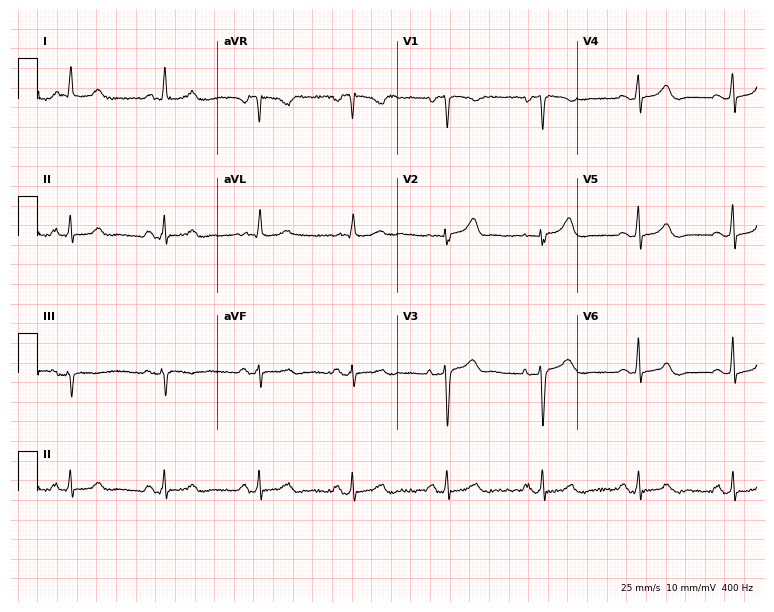
12-lead ECG (7.3-second recording at 400 Hz) from a female, 61 years old. Labelled as a normal ECG.